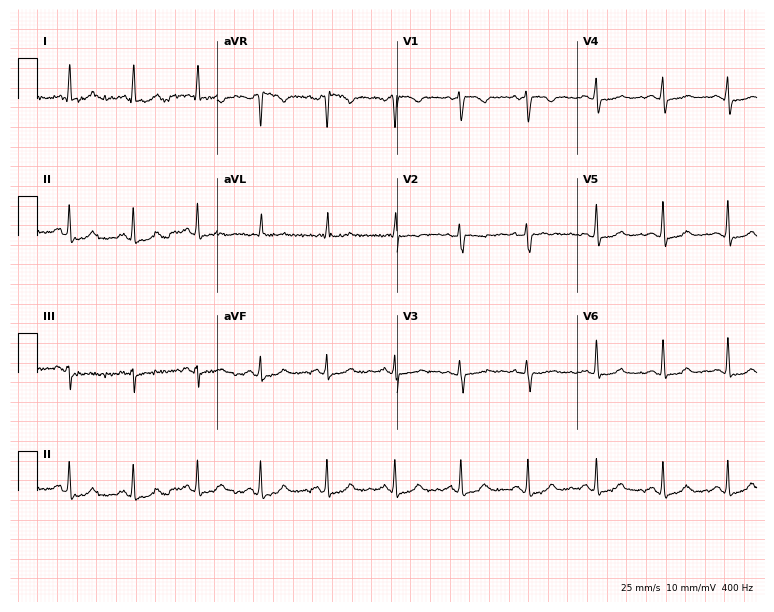
Standard 12-lead ECG recorded from a female, 46 years old. Read as a normal ECG.